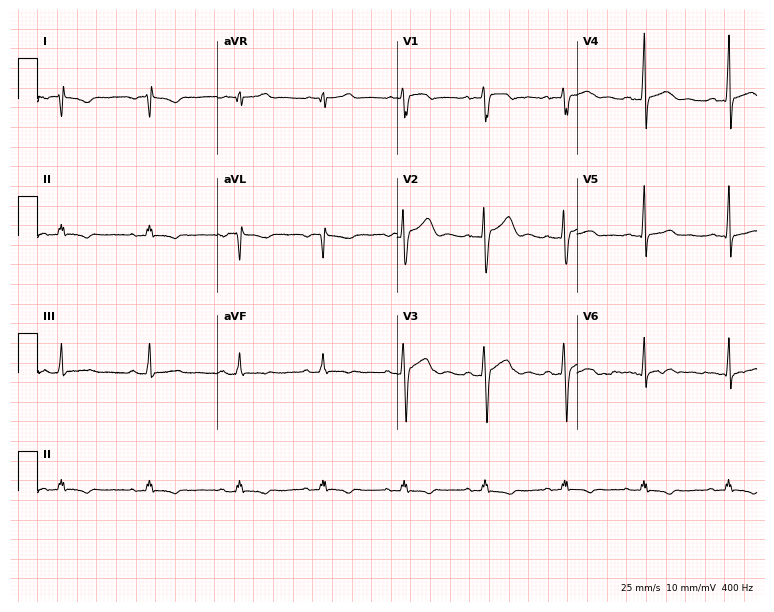
12-lead ECG from a male patient, 25 years old (7.3-second recording at 400 Hz). No first-degree AV block, right bundle branch block (RBBB), left bundle branch block (LBBB), sinus bradycardia, atrial fibrillation (AF) or sinus tachycardia recorded for this tracing. Findings outside these six are not listed.